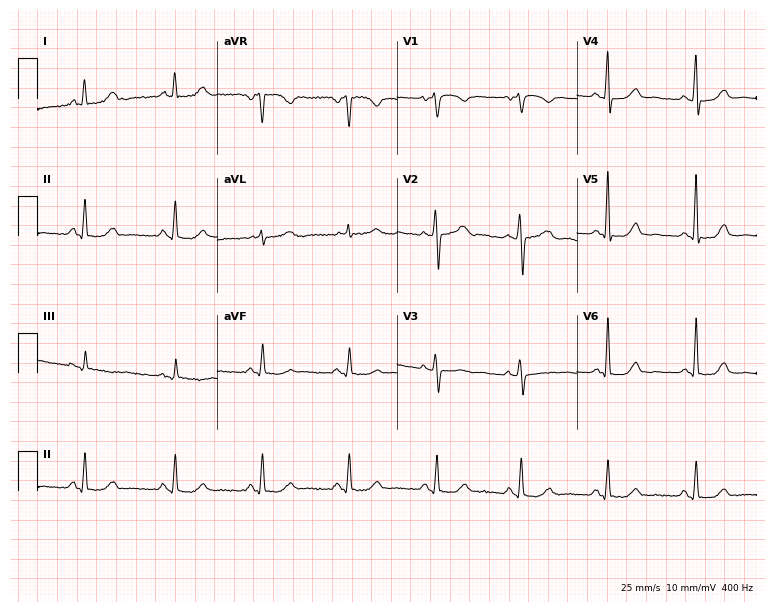
ECG (7.3-second recording at 400 Hz) — a 67-year-old female. Screened for six findings — first-degree AV block, right bundle branch block, left bundle branch block, sinus bradycardia, atrial fibrillation, sinus tachycardia — none is recorded.